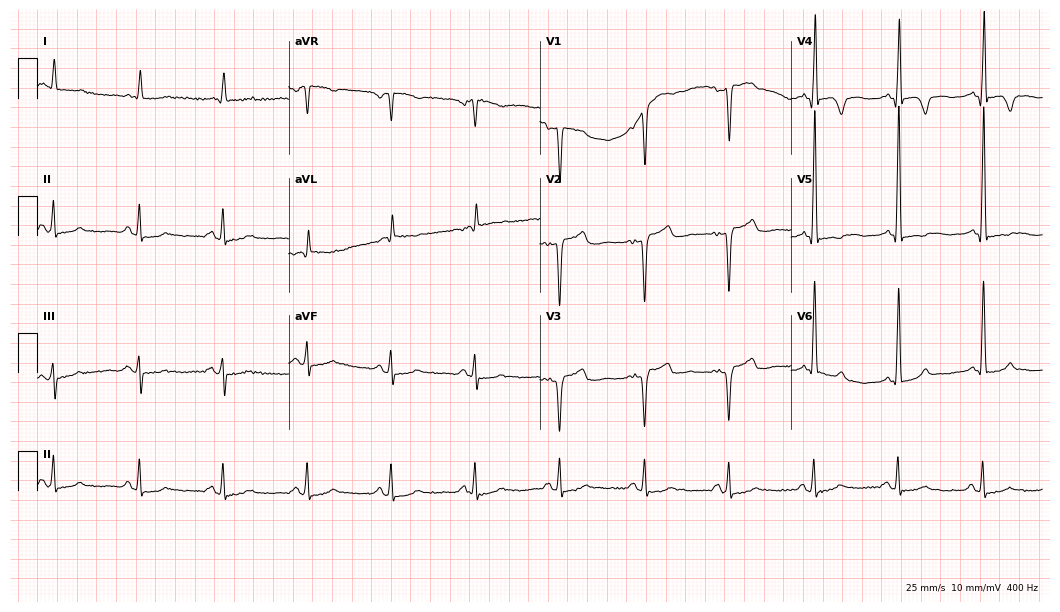
12-lead ECG from an 82-year-old male. Screened for six findings — first-degree AV block, right bundle branch block, left bundle branch block, sinus bradycardia, atrial fibrillation, sinus tachycardia — none is recorded.